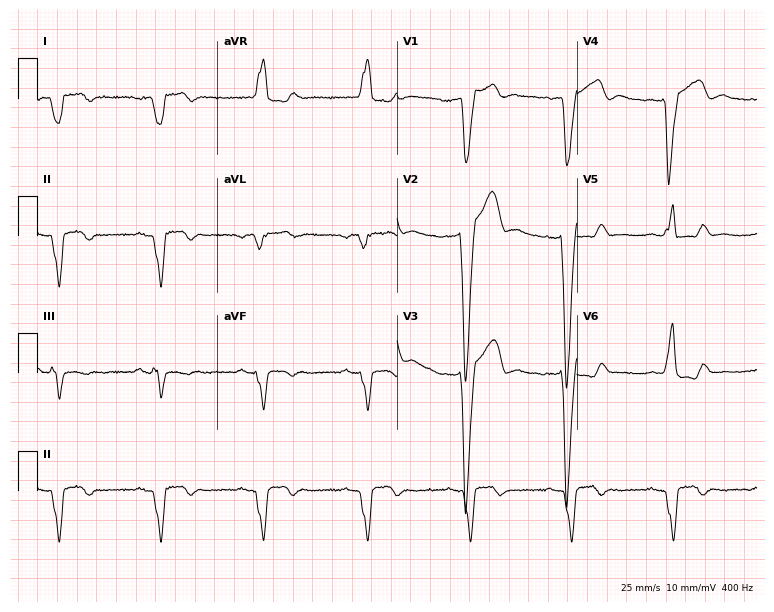
ECG — a male patient, 47 years old. Screened for six findings — first-degree AV block, right bundle branch block, left bundle branch block, sinus bradycardia, atrial fibrillation, sinus tachycardia — none is recorded. Only these six findings were labelled.